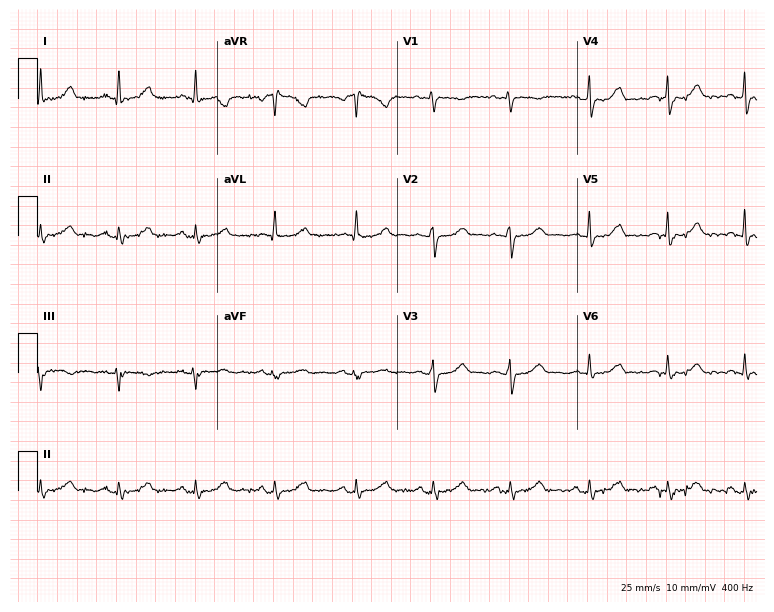
Resting 12-lead electrocardiogram (7.3-second recording at 400 Hz). Patient: a 42-year-old female. Read as a normal ECG.